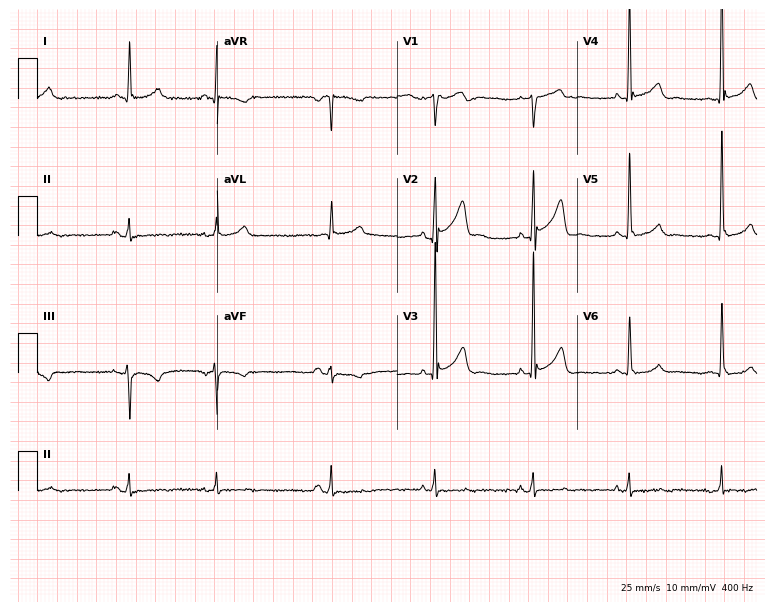
ECG — a 70-year-old man. Screened for six findings — first-degree AV block, right bundle branch block, left bundle branch block, sinus bradycardia, atrial fibrillation, sinus tachycardia — none is recorded. Other findings, if any, are not listed.